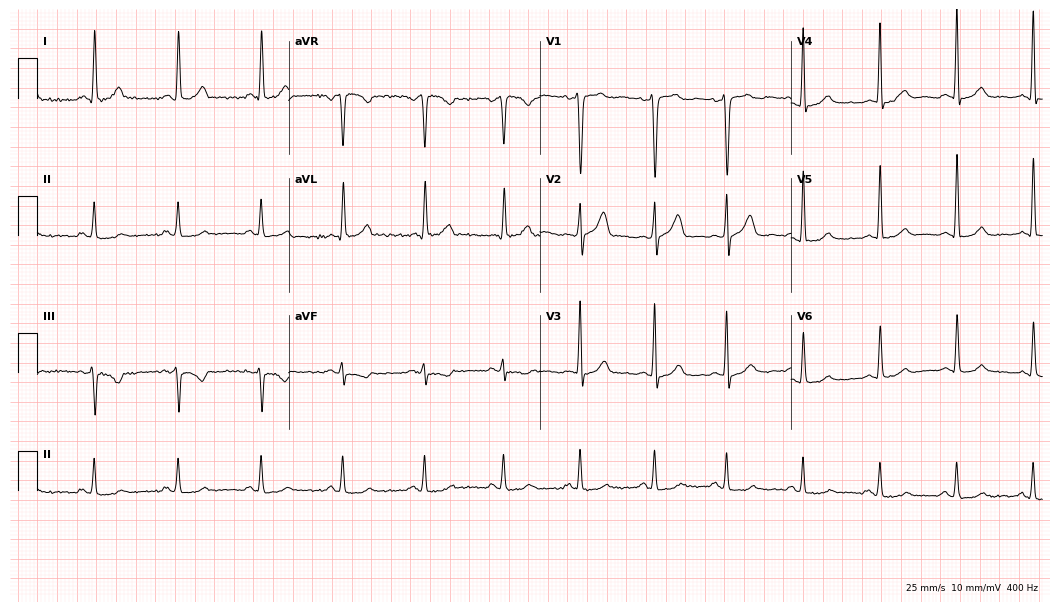
12-lead ECG from a male patient, 62 years old (10.2-second recording at 400 Hz). Recorded interpretation: within normal limits.